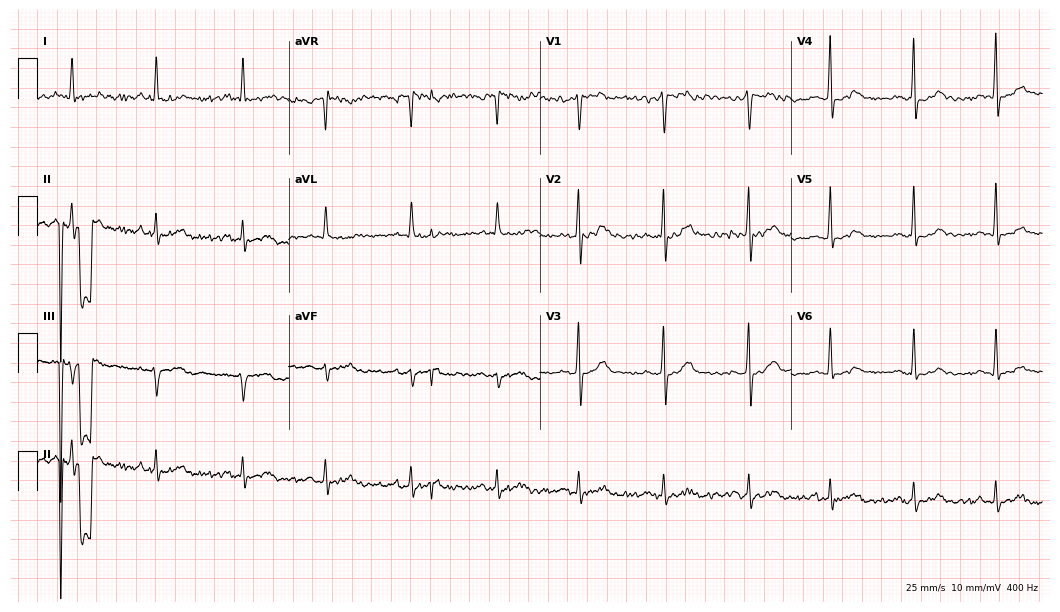
12-lead ECG from a man, 40 years old (10.2-second recording at 400 Hz). Recorded interpretation: within normal limits.